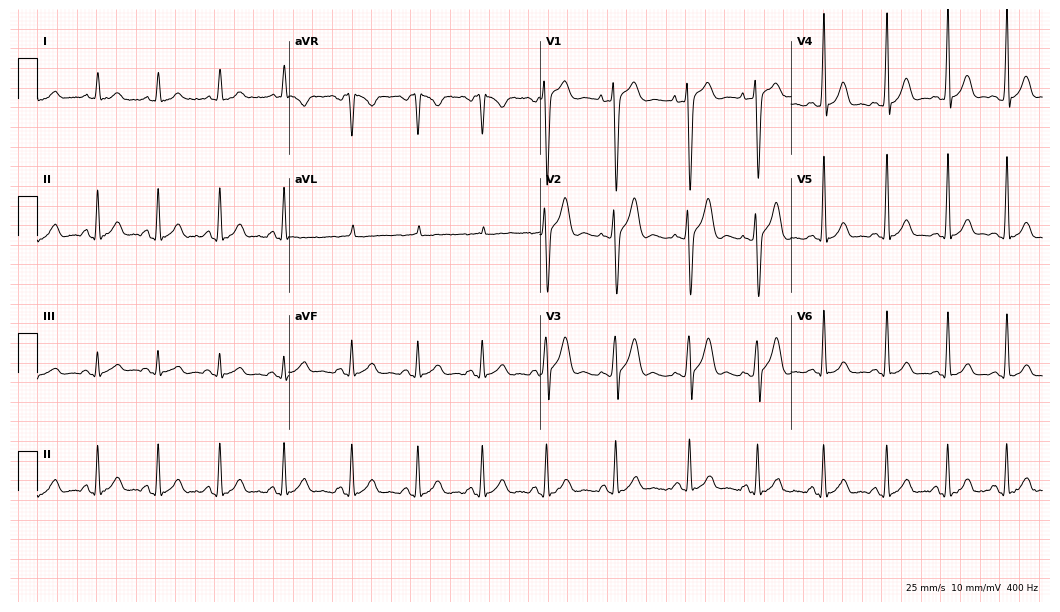
Electrocardiogram (10.2-second recording at 400 Hz), a male patient, 17 years old. Overall reading on record: normal ECG.